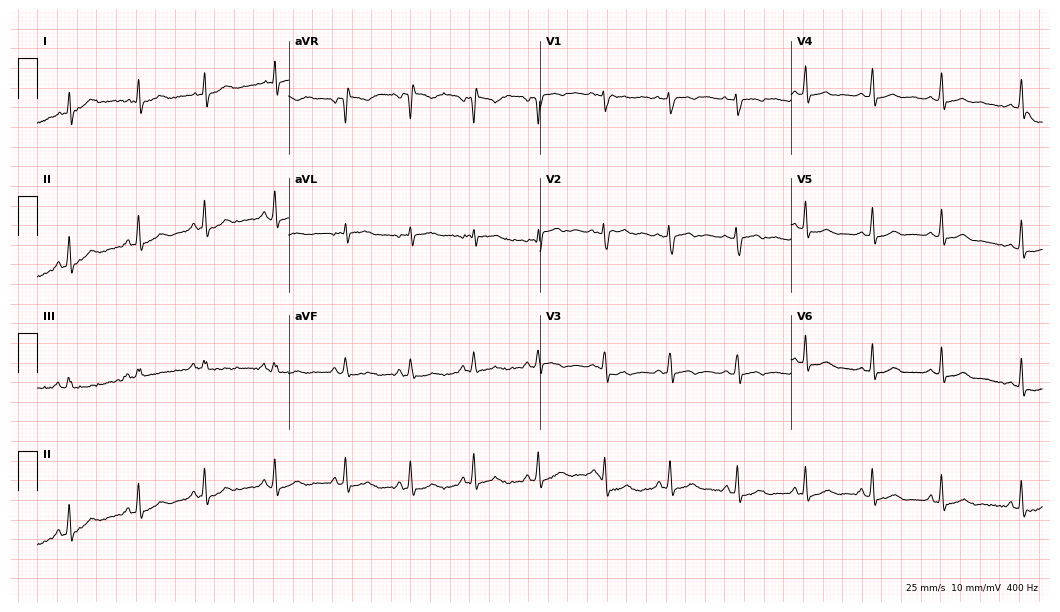
Standard 12-lead ECG recorded from a 17-year-old female (10.2-second recording at 400 Hz). Read as a normal ECG.